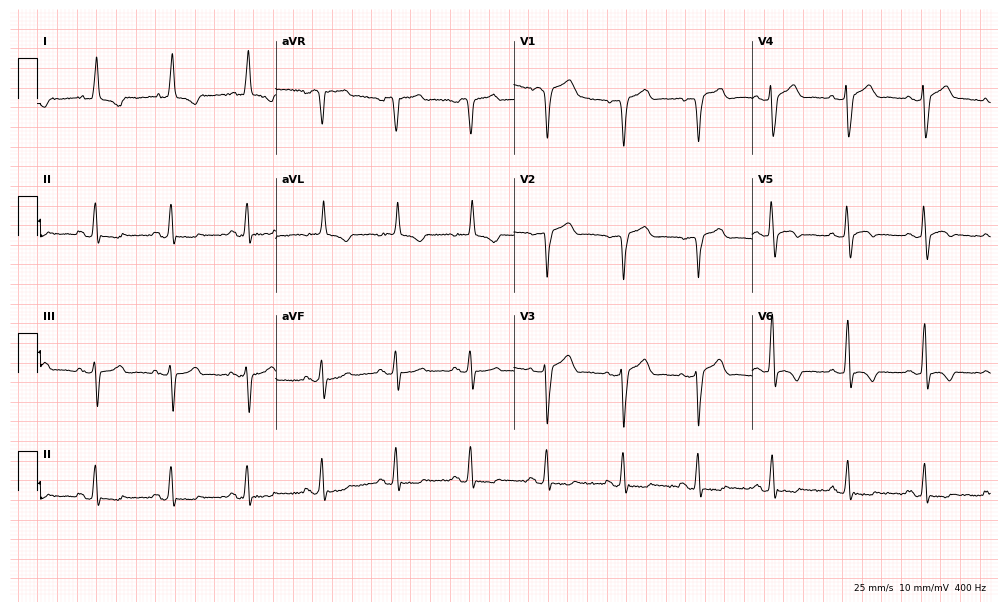
12-lead ECG from a male patient, 79 years old. Recorded interpretation: within normal limits.